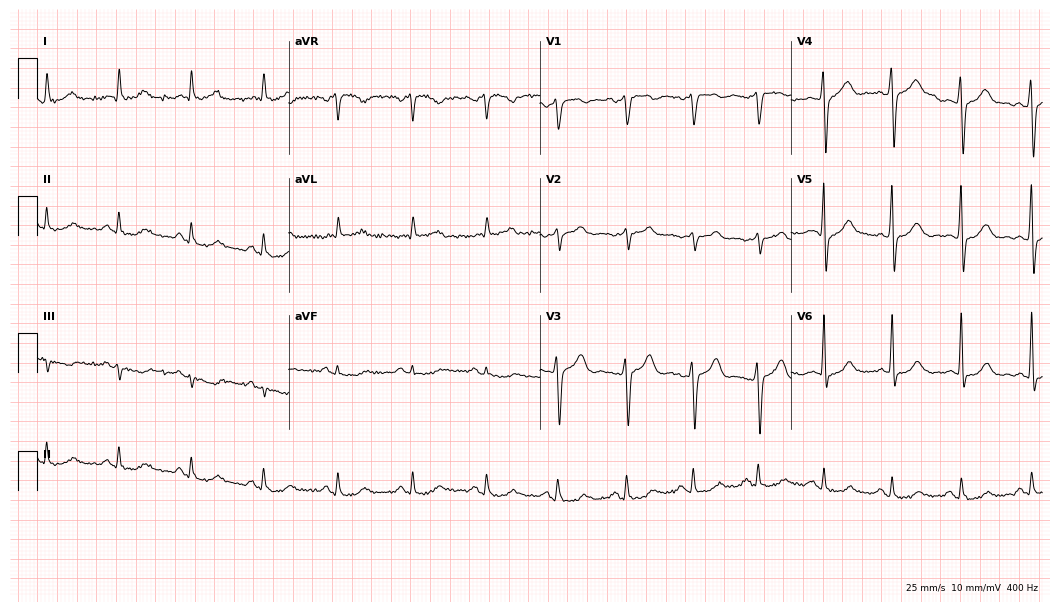
Standard 12-lead ECG recorded from a 62-year-old male (10.2-second recording at 400 Hz). Read as a normal ECG.